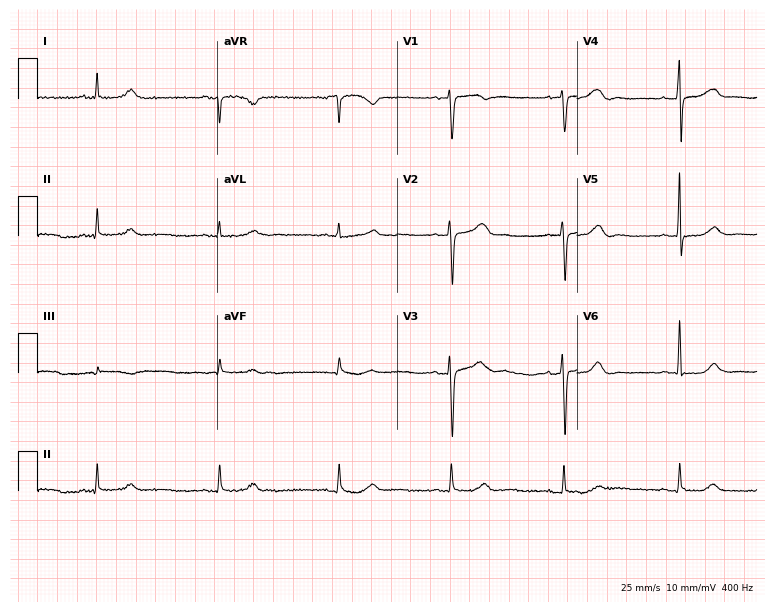
12-lead ECG from a female, 62 years old. No first-degree AV block, right bundle branch block (RBBB), left bundle branch block (LBBB), sinus bradycardia, atrial fibrillation (AF) or sinus tachycardia recorded for this tracing. Other findings, if any, are not listed.